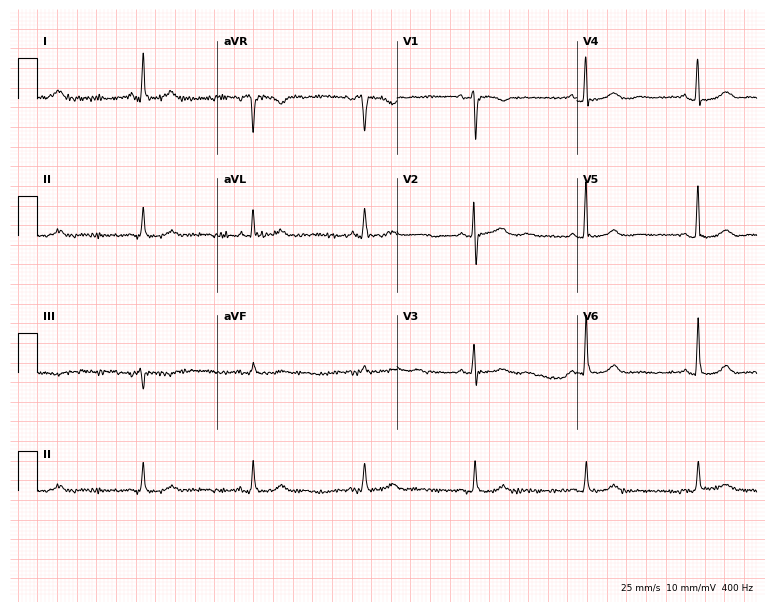
Electrocardiogram (7.3-second recording at 400 Hz), an 82-year-old woman. Overall reading on record: normal ECG.